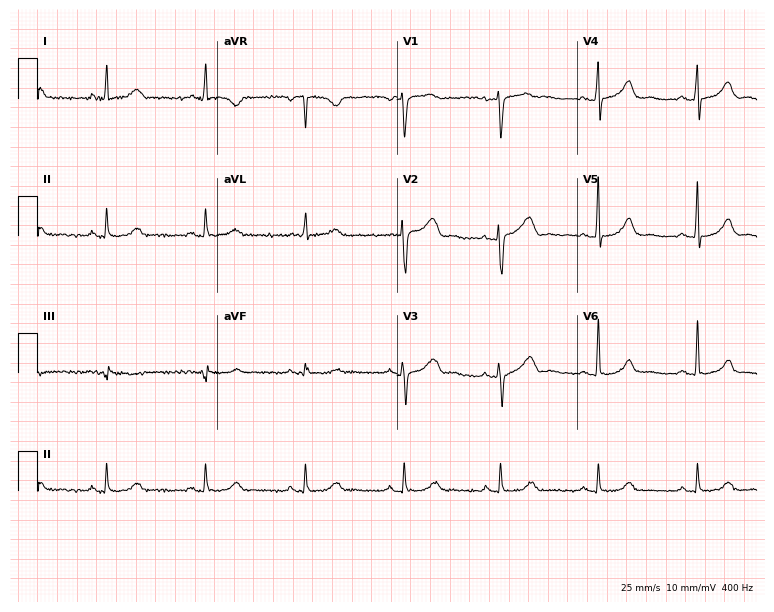
12-lead ECG from a female patient, 58 years old (7.3-second recording at 400 Hz). Recorded interpretation: within normal limits.